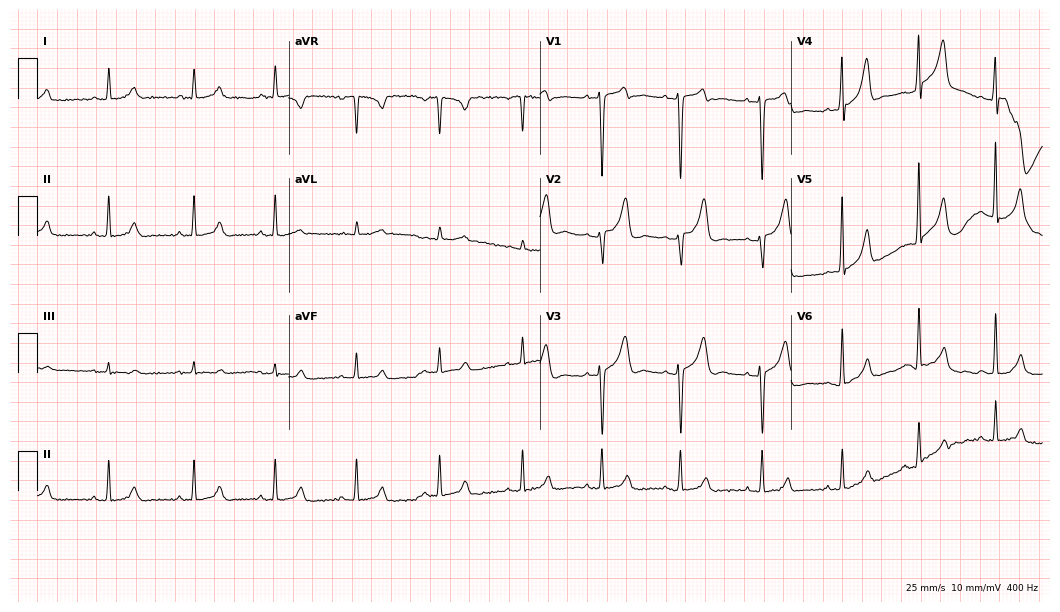
ECG — a 37-year-old man. Labelled as a normal ECG.